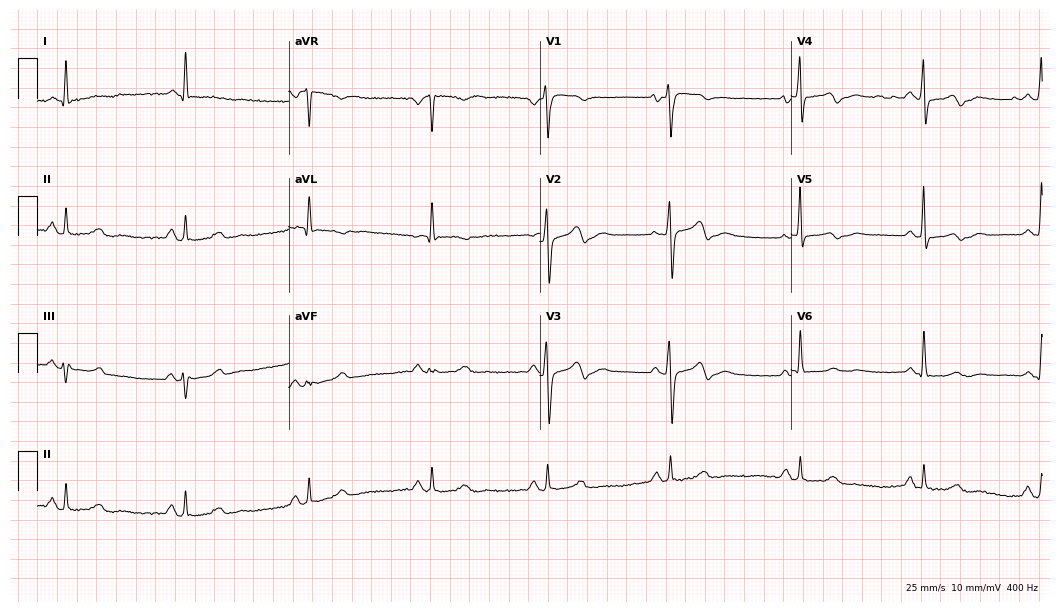
Electrocardiogram, a female, 58 years old. Interpretation includes sinus bradycardia (a sinus rate of 50 beats per minute or less).